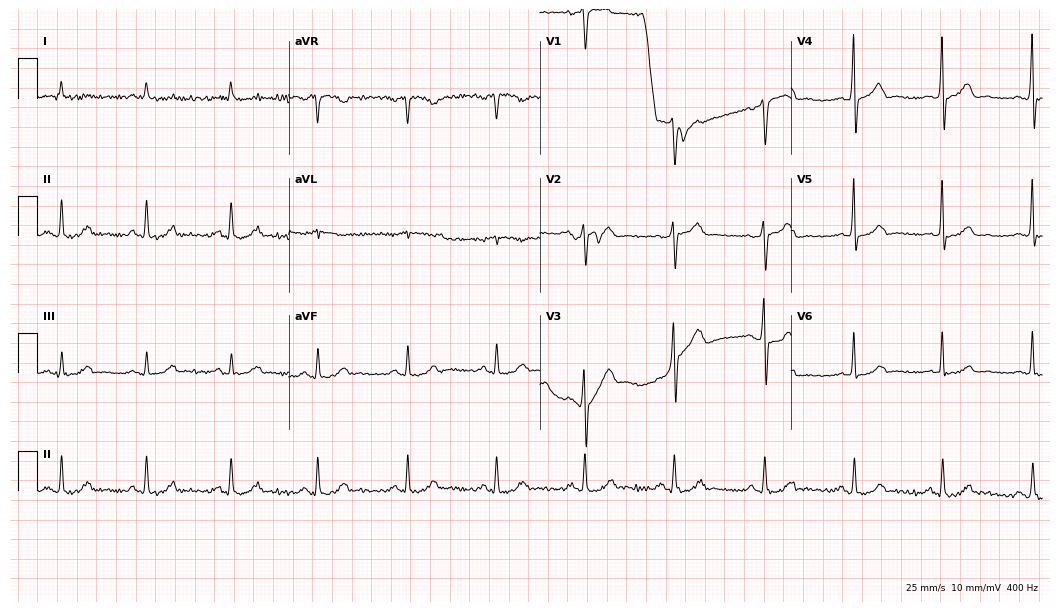
Electrocardiogram (10.2-second recording at 400 Hz), a man, 18 years old. Overall reading on record: normal ECG.